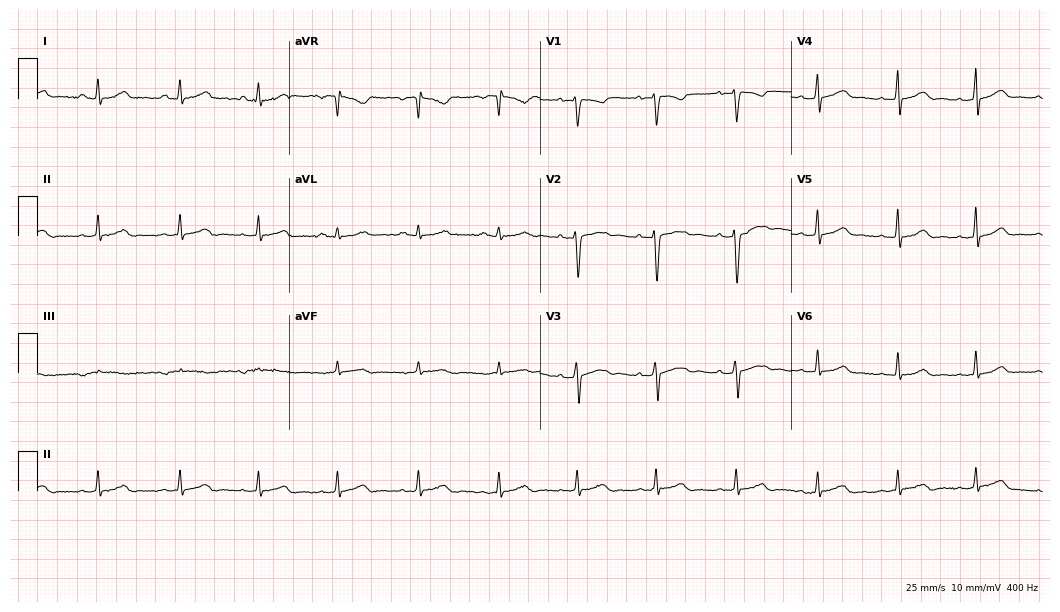
Resting 12-lead electrocardiogram. Patient: a female, 25 years old. Read as a normal ECG.